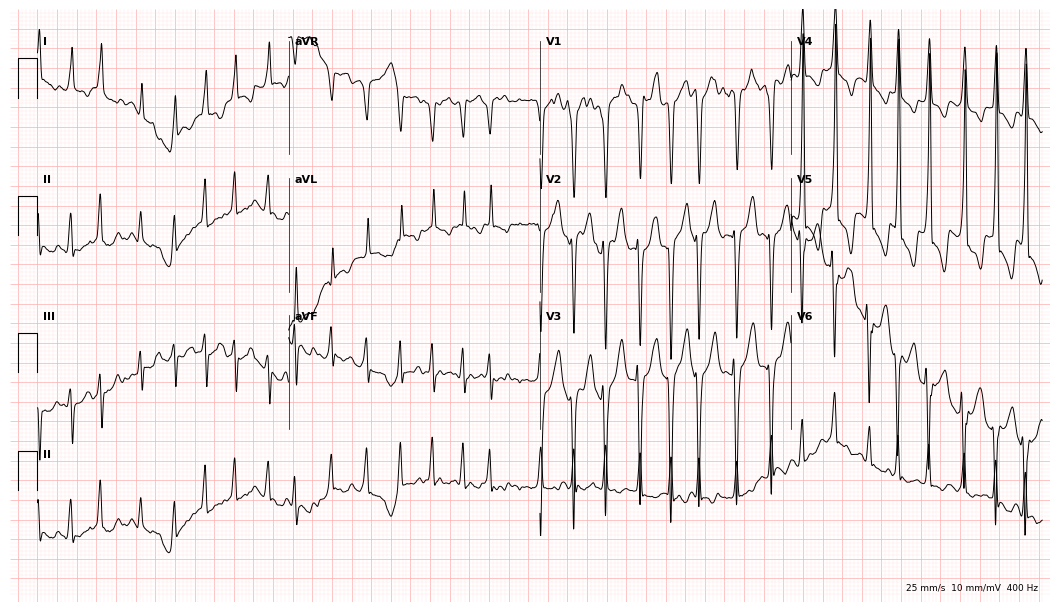
ECG — a man, 41 years old. Findings include atrial fibrillation (AF).